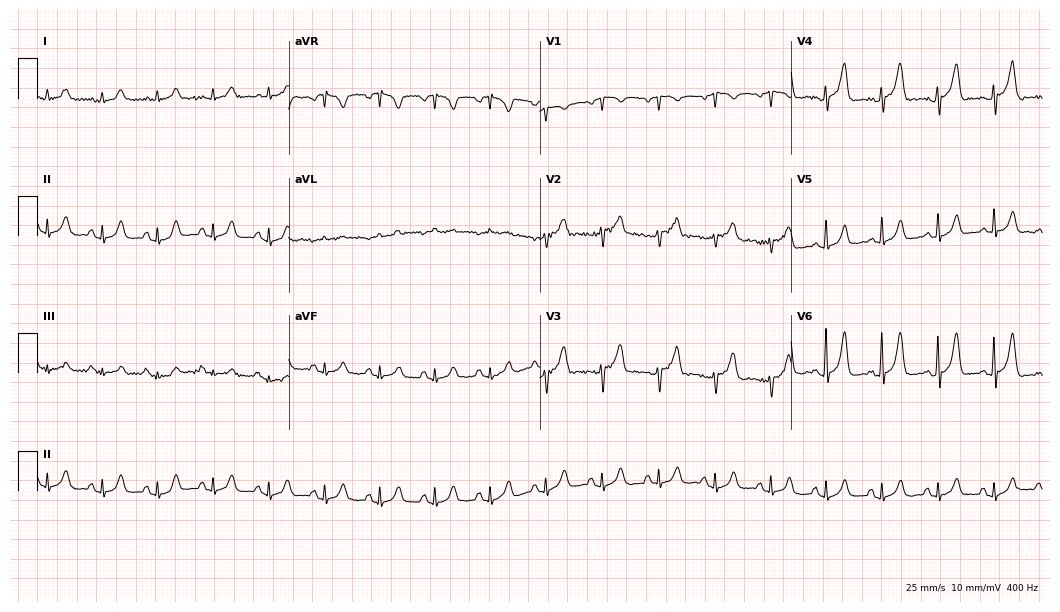
Electrocardiogram (10.2-second recording at 400 Hz), an 82-year-old female patient. Interpretation includes sinus tachycardia (a sinus rate of 100 beats per minute or more).